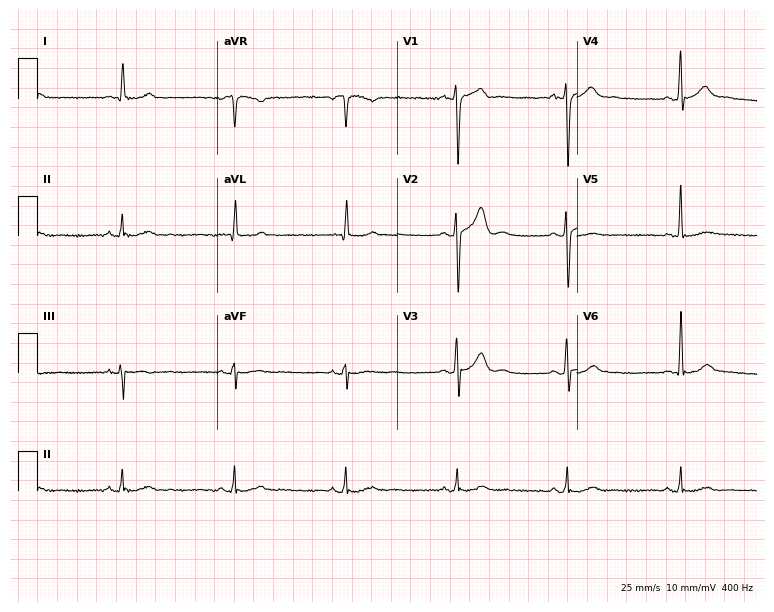
12-lead ECG from a male, 35 years old. No first-degree AV block, right bundle branch block (RBBB), left bundle branch block (LBBB), sinus bradycardia, atrial fibrillation (AF) or sinus tachycardia recorded for this tracing. Findings outside these six are not listed.